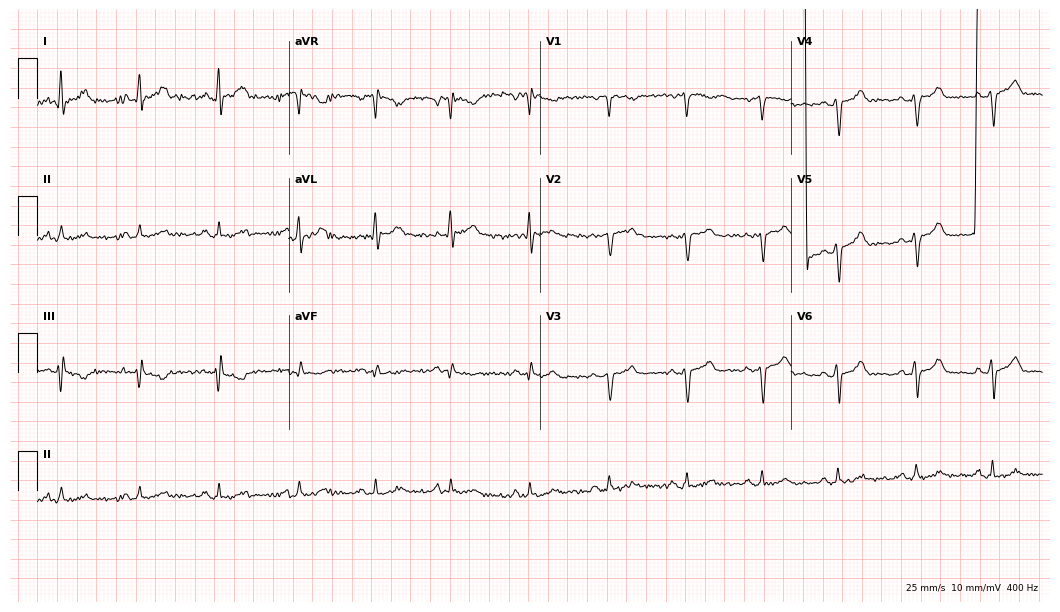
12-lead ECG from a 58-year-old man (10.2-second recording at 400 Hz). No first-degree AV block, right bundle branch block (RBBB), left bundle branch block (LBBB), sinus bradycardia, atrial fibrillation (AF) or sinus tachycardia recorded for this tracing.